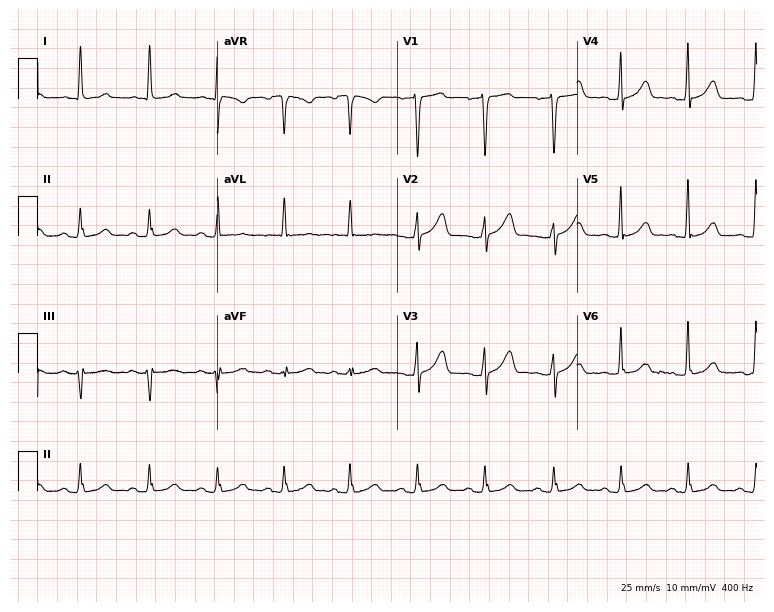
Resting 12-lead electrocardiogram. Patient: a 55-year-old female. None of these six findings is recorded: first-degree AV block, right bundle branch block, left bundle branch block, sinus bradycardia, atrial fibrillation, sinus tachycardia. Only these six findings were labelled.